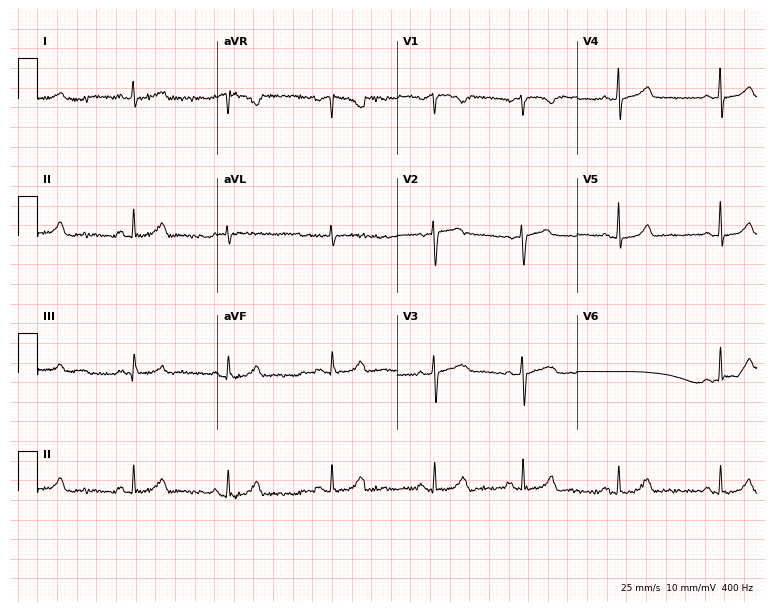
ECG — a 30-year-old female. Screened for six findings — first-degree AV block, right bundle branch block, left bundle branch block, sinus bradycardia, atrial fibrillation, sinus tachycardia — none is recorded. Findings outside these six are not listed.